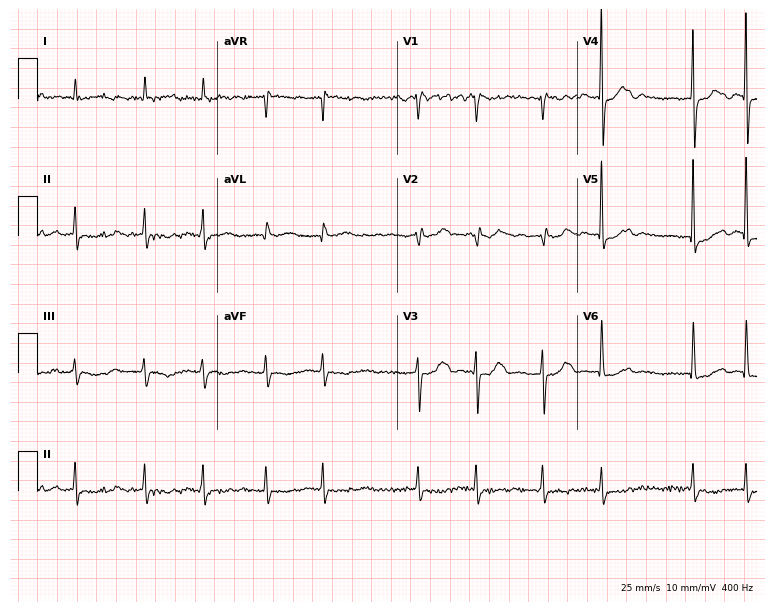
12-lead ECG (7.3-second recording at 400 Hz) from a 79-year-old woman. Findings include atrial fibrillation.